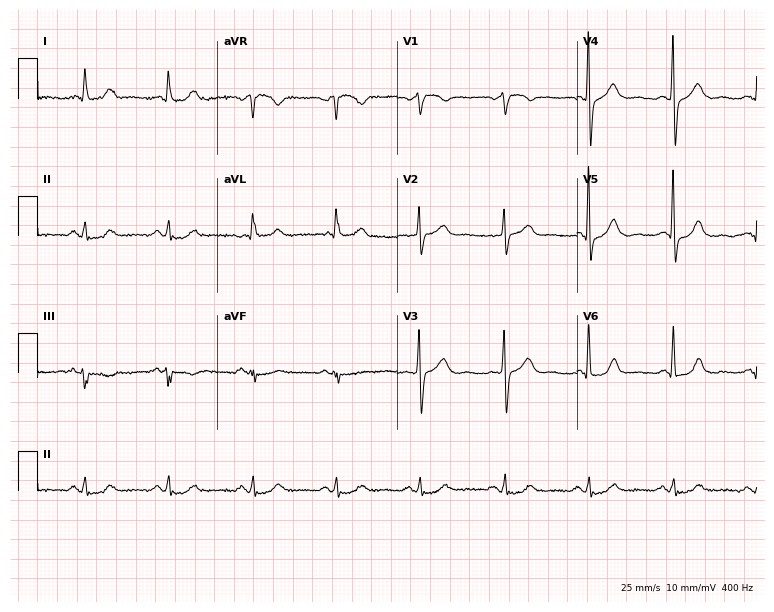
12-lead ECG from a male patient, 59 years old (7.3-second recording at 400 Hz). No first-degree AV block, right bundle branch block (RBBB), left bundle branch block (LBBB), sinus bradycardia, atrial fibrillation (AF) or sinus tachycardia recorded for this tracing.